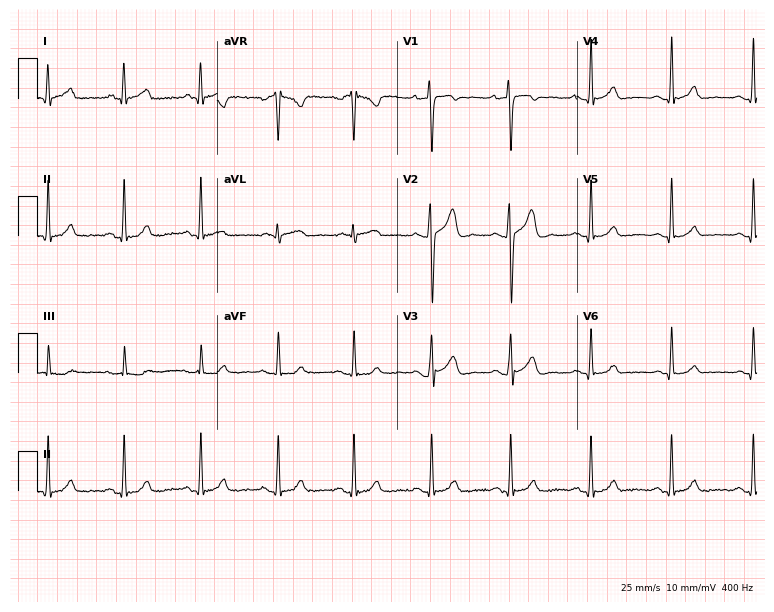
12-lead ECG (7.3-second recording at 400 Hz) from a 33-year-old male patient. Labelled as a normal ECG.